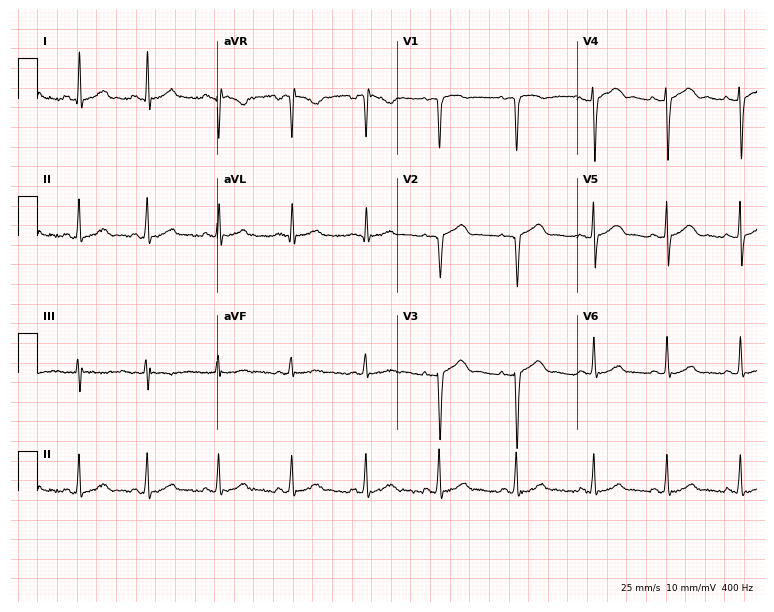
Electrocardiogram, a 47-year-old woman. Of the six screened findings (first-degree AV block, right bundle branch block, left bundle branch block, sinus bradycardia, atrial fibrillation, sinus tachycardia), none is recorded.